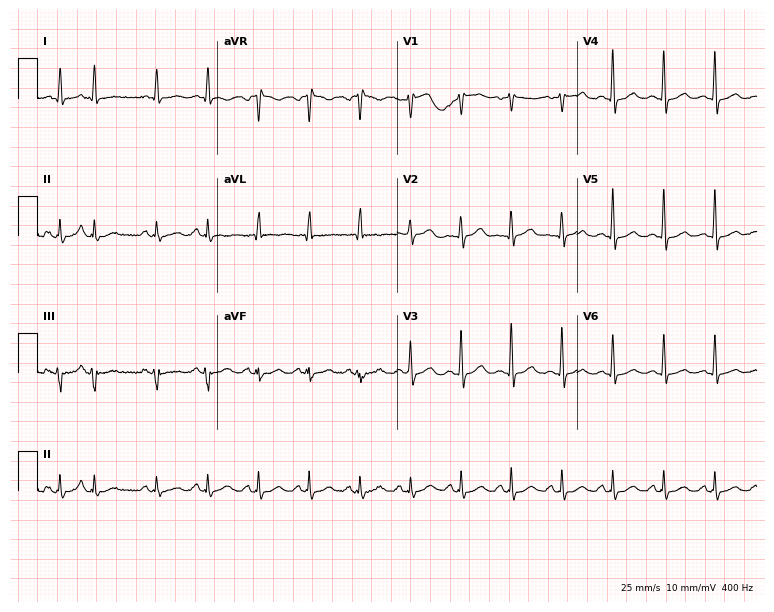
Resting 12-lead electrocardiogram (7.3-second recording at 400 Hz). Patient: an 84-year-old male. The tracing shows sinus tachycardia (a sinus rate of 100 beats per minute or more).